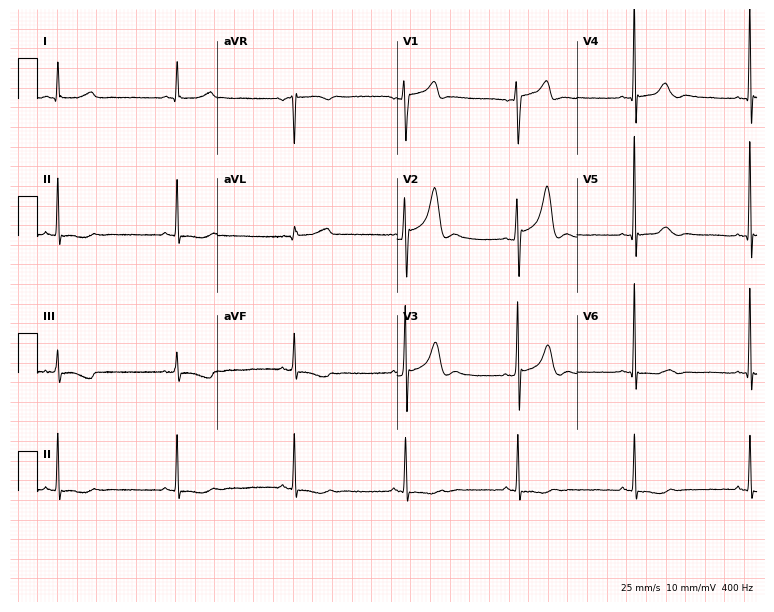
Resting 12-lead electrocardiogram. Patient: a 38-year-old male. None of these six findings is recorded: first-degree AV block, right bundle branch block, left bundle branch block, sinus bradycardia, atrial fibrillation, sinus tachycardia. Only these six findings were labelled.